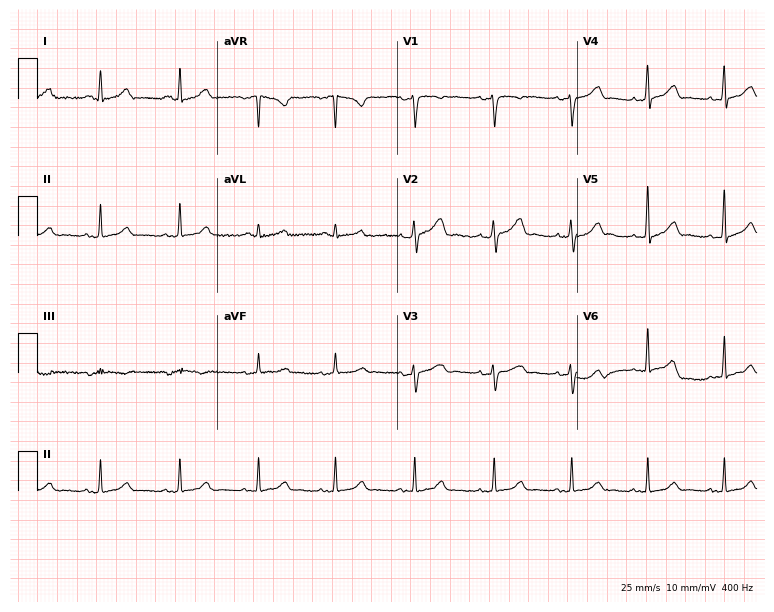
ECG — a woman, 40 years old. Screened for six findings — first-degree AV block, right bundle branch block, left bundle branch block, sinus bradycardia, atrial fibrillation, sinus tachycardia — none is recorded. Only these six findings were labelled.